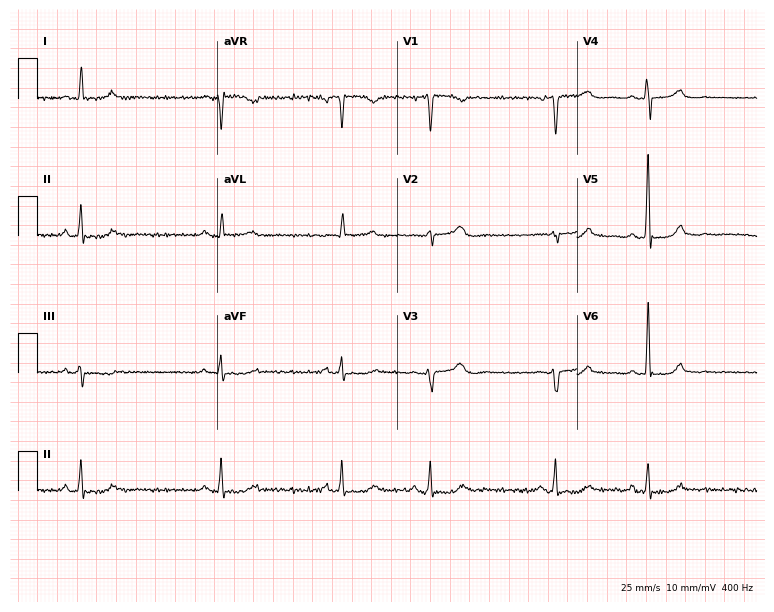
Resting 12-lead electrocardiogram (7.3-second recording at 400 Hz). Patient: a female, 49 years old. None of these six findings is recorded: first-degree AV block, right bundle branch block (RBBB), left bundle branch block (LBBB), sinus bradycardia, atrial fibrillation (AF), sinus tachycardia.